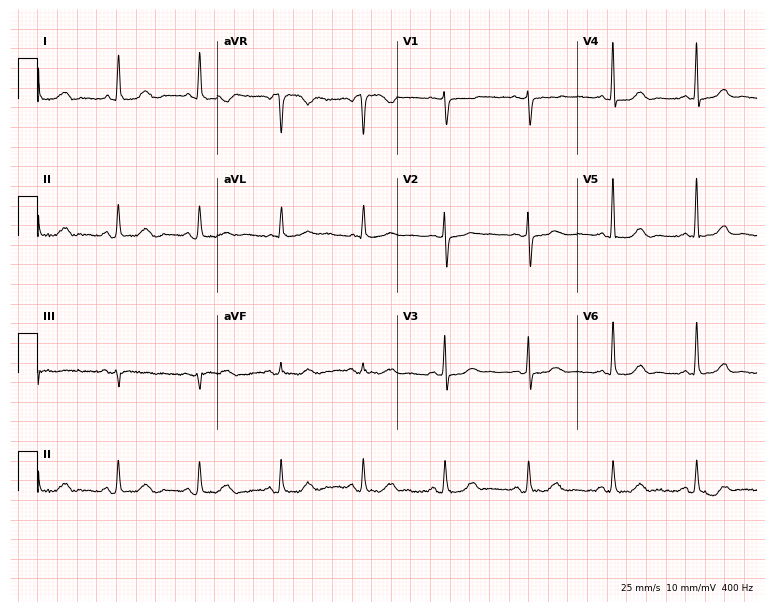
ECG (7.3-second recording at 400 Hz) — a 57-year-old female patient. Labelled as a normal ECG.